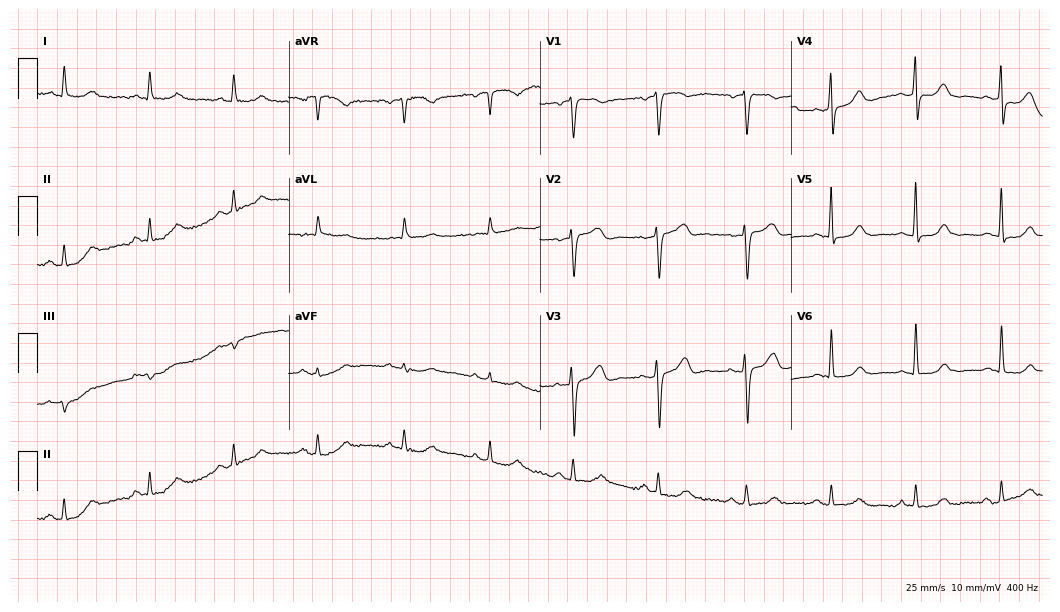
Standard 12-lead ECG recorded from a male, 76 years old (10.2-second recording at 400 Hz). None of these six findings is recorded: first-degree AV block, right bundle branch block, left bundle branch block, sinus bradycardia, atrial fibrillation, sinus tachycardia. Only these six findings were labelled.